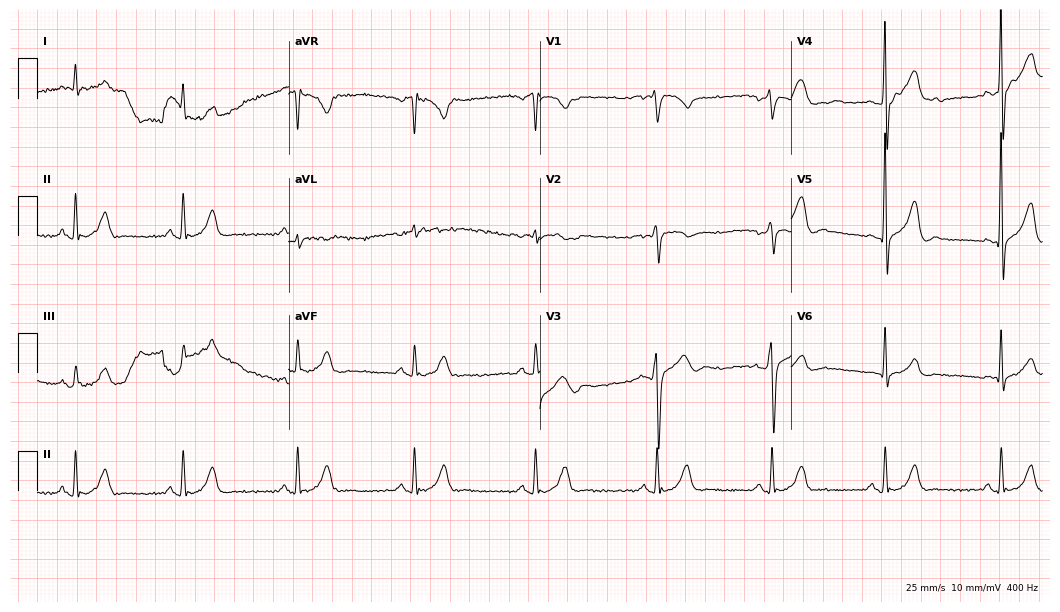
ECG — a man, 71 years old. Screened for six findings — first-degree AV block, right bundle branch block (RBBB), left bundle branch block (LBBB), sinus bradycardia, atrial fibrillation (AF), sinus tachycardia — none is recorded.